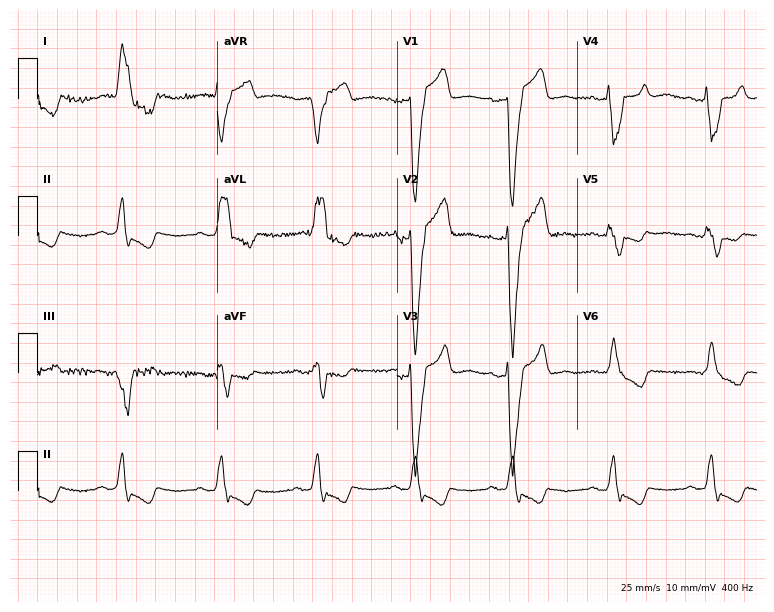
12-lead ECG from an 82-year-old female. Shows left bundle branch block.